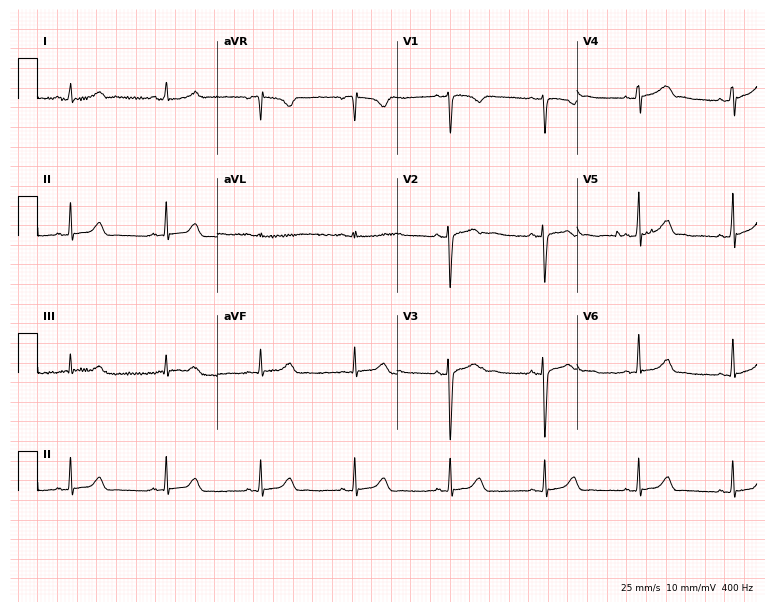
Electrocardiogram, a 19-year-old female patient. Overall reading on record: normal ECG.